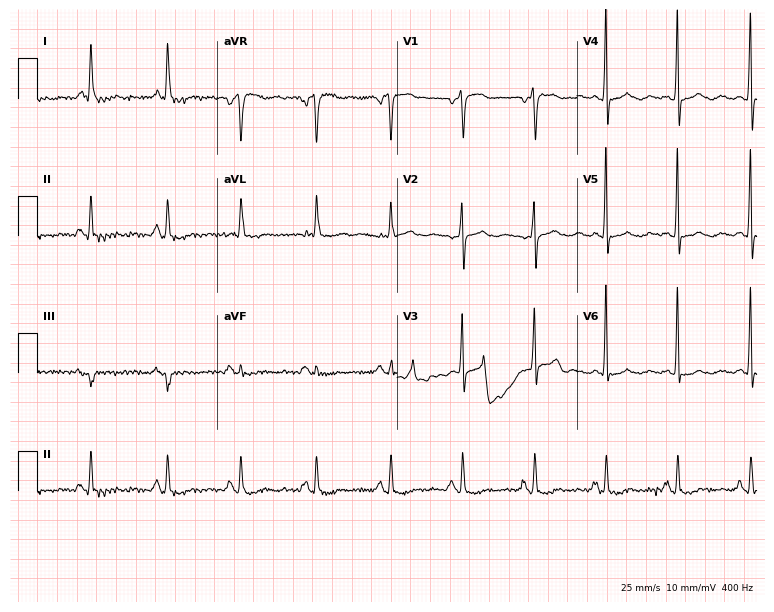
Resting 12-lead electrocardiogram. Patient: a woman, 57 years old. None of these six findings is recorded: first-degree AV block, right bundle branch block, left bundle branch block, sinus bradycardia, atrial fibrillation, sinus tachycardia.